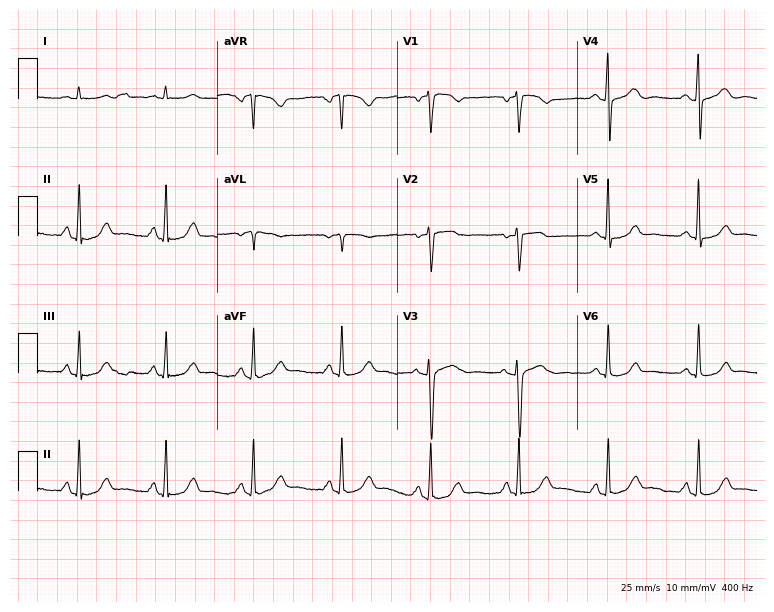
12-lead ECG from a woman, 42 years old. Recorded interpretation: within normal limits.